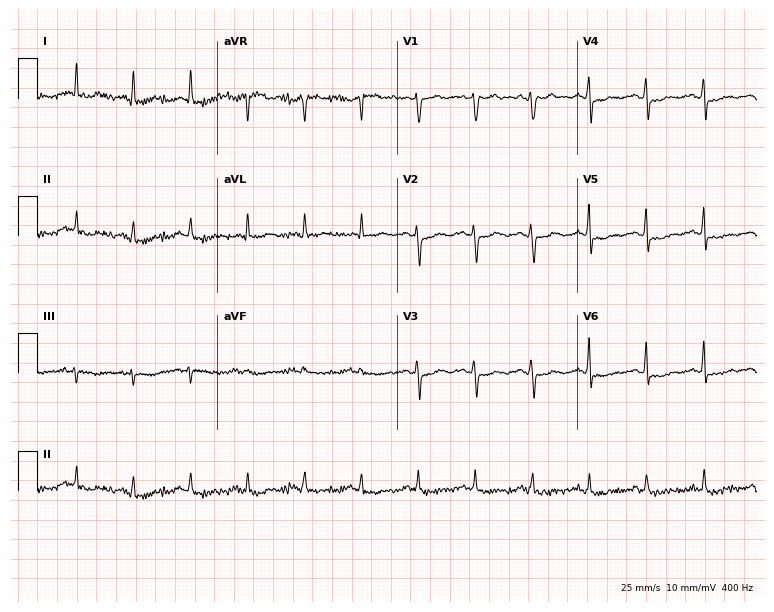
Resting 12-lead electrocardiogram. Patient: a man, 49 years old. The tracing shows sinus tachycardia (a sinus rate of 100 beats per minute or more).